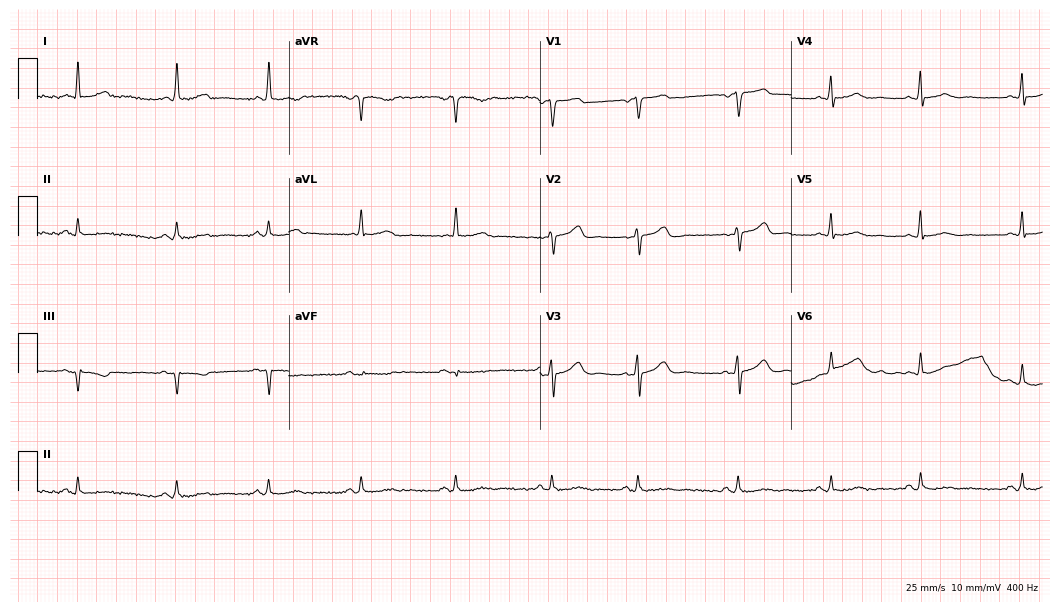
Resting 12-lead electrocardiogram. Patient: a female, 53 years old. None of these six findings is recorded: first-degree AV block, right bundle branch block (RBBB), left bundle branch block (LBBB), sinus bradycardia, atrial fibrillation (AF), sinus tachycardia. Other findings, if any, are not listed.